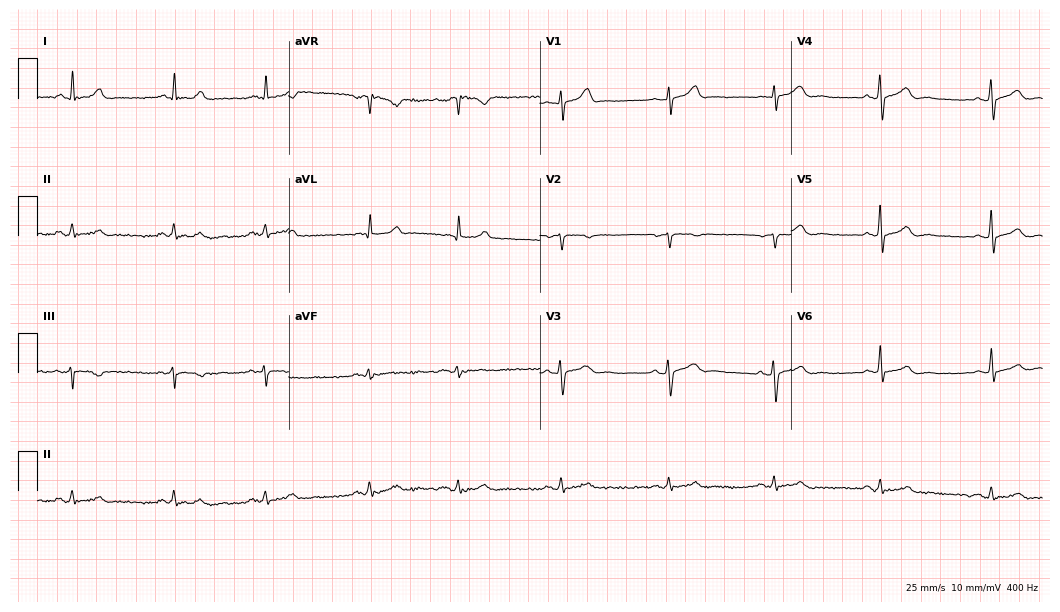
12-lead ECG (10.2-second recording at 400 Hz) from a 36-year-old male patient. Labelled as a normal ECG.